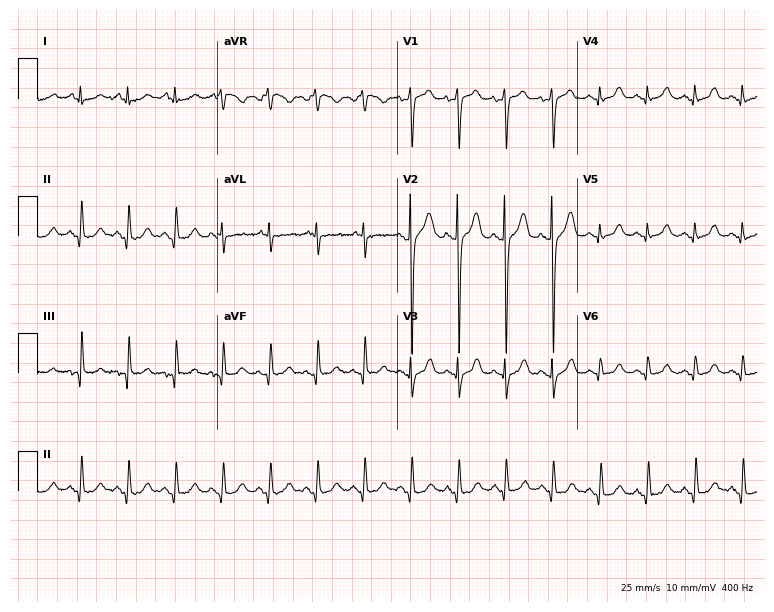
Resting 12-lead electrocardiogram (7.3-second recording at 400 Hz). Patient: a 55-year-old female. The tracing shows sinus tachycardia (a sinus rate of 100 beats per minute or more).